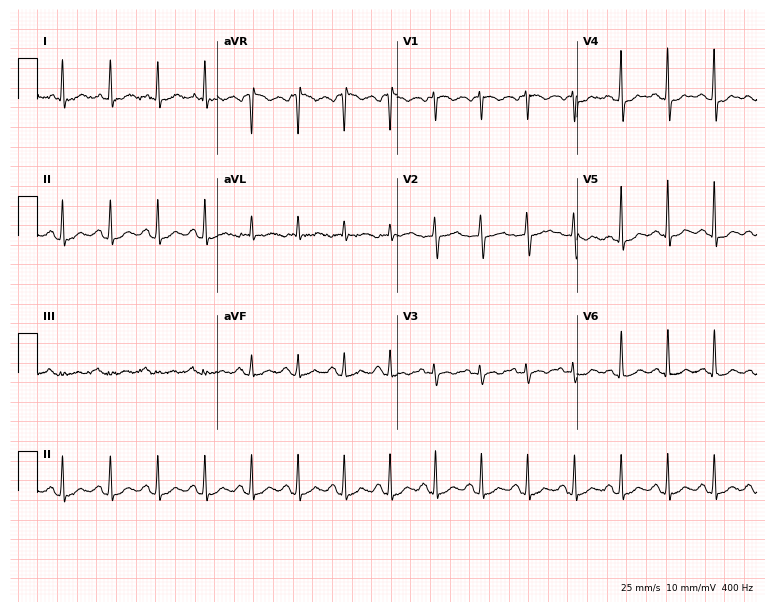
12-lead ECG from a female, 37 years old (7.3-second recording at 400 Hz). Shows sinus tachycardia (a sinus rate of 100 beats per minute or more).